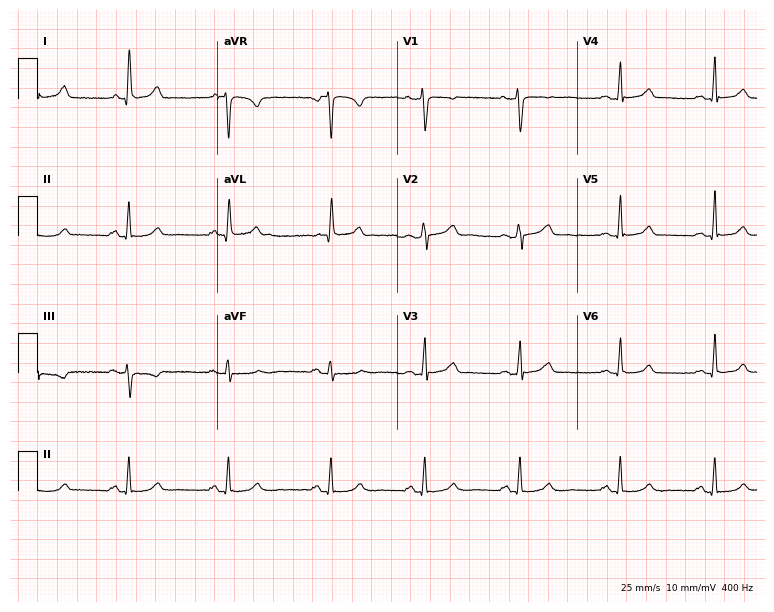
ECG — a woman, 35 years old. Labelled as a normal ECG.